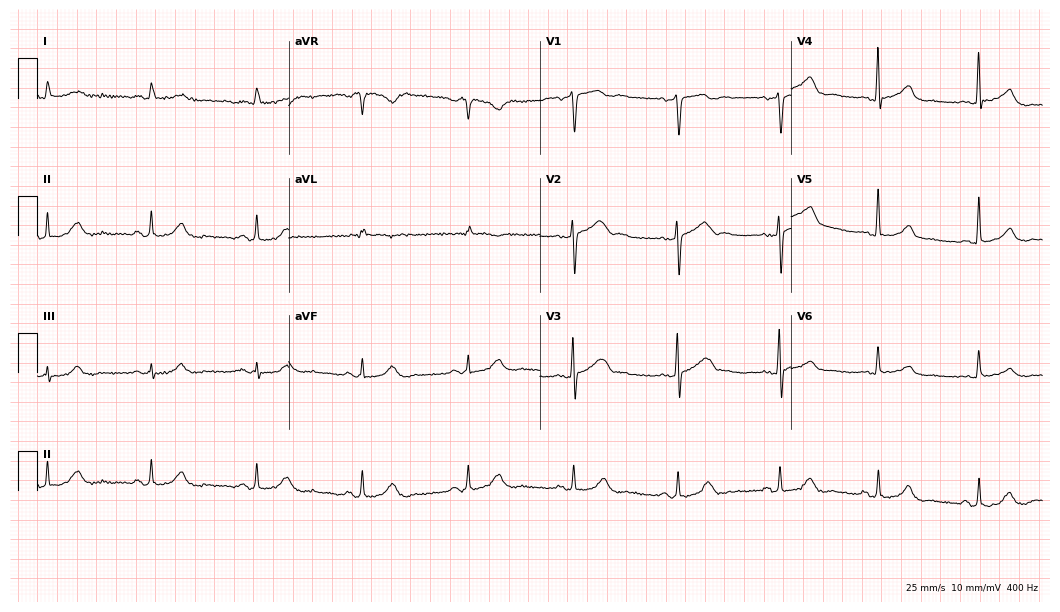
Electrocardiogram (10.2-second recording at 400 Hz), a male patient, 33 years old. Overall reading on record: normal ECG.